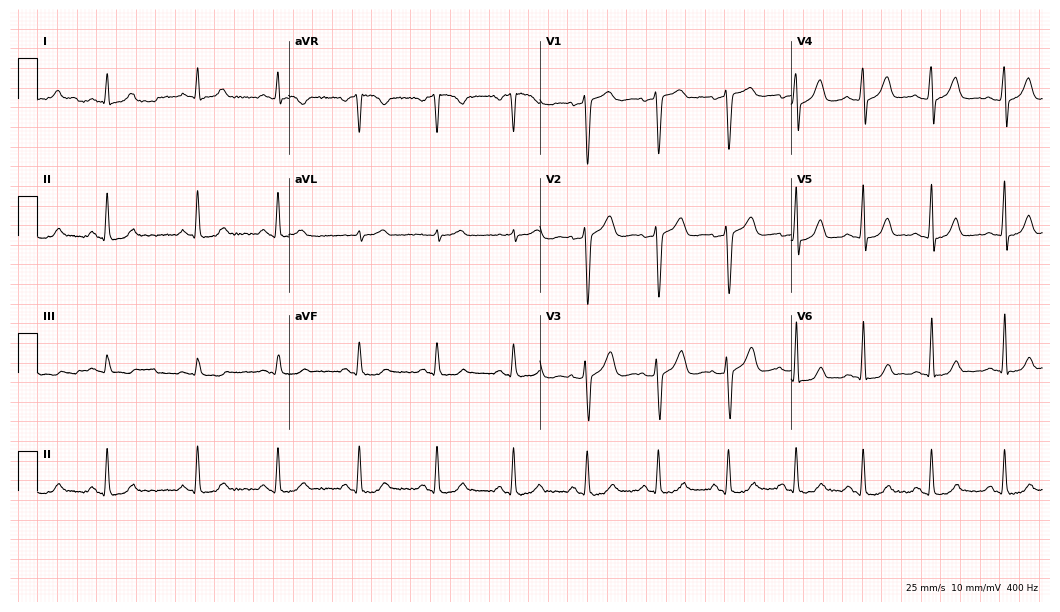
Resting 12-lead electrocardiogram (10.2-second recording at 400 Hz). Patient: a man, 34 years old. Read as a normal ECG.